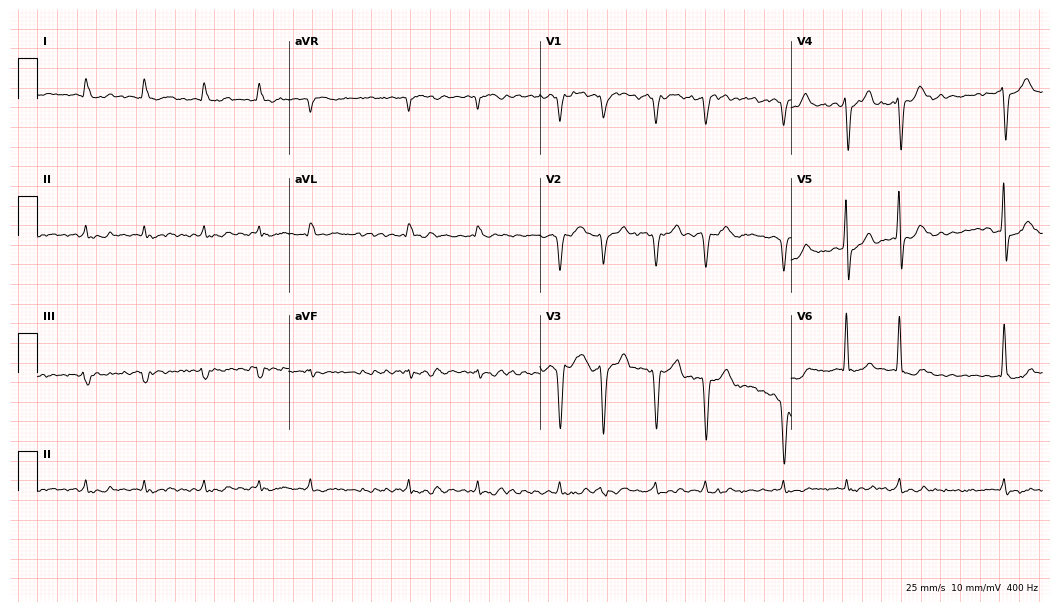
ECG — a man, 62 years old. Findings include atrial fibrillation.